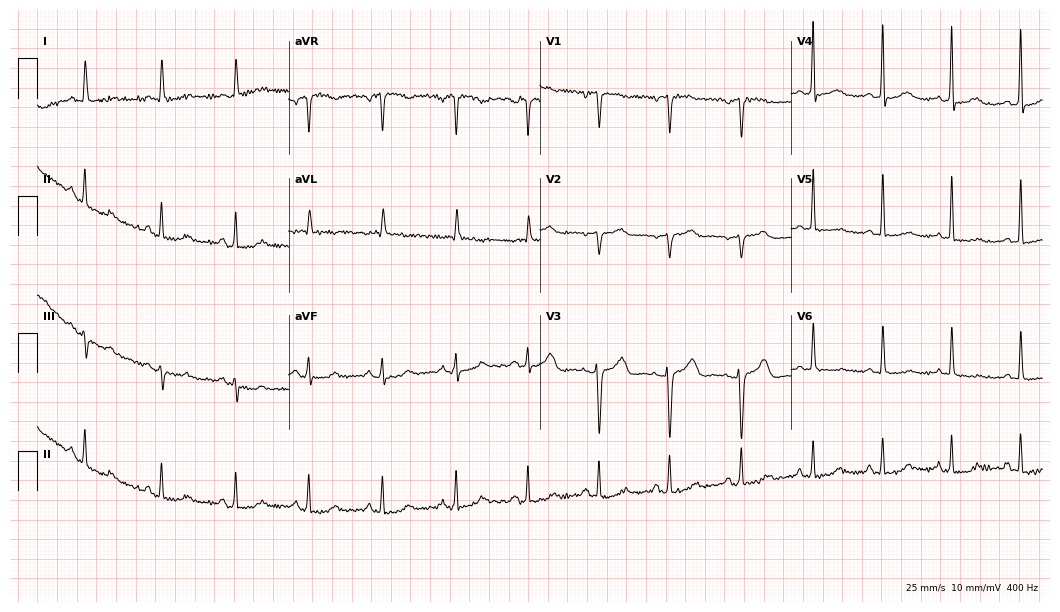
Electrocardiogram, a 72-year-old woman. Of the six screened findings (first-degree AV block, right bundle branch block, left bundle branch block, sinus bradycardia, atrial fibrillation, sinus tachycardia), none is recorded. Other findings, if any, are not listed.